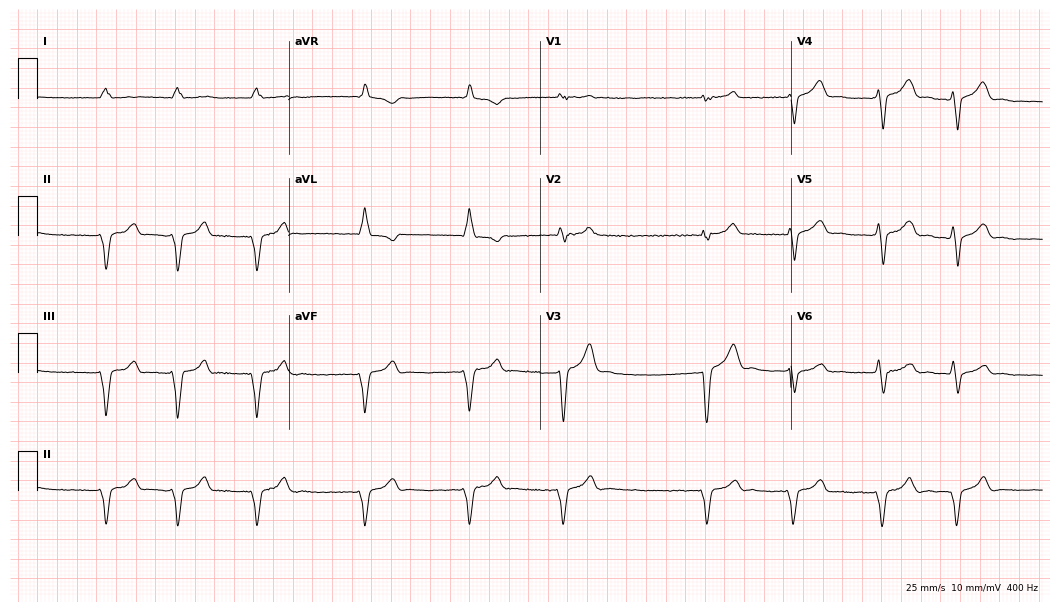
Standard 12-lead ECG recorded from a 67-year-old male patient (10.2-second recording at 400 Hz). The tracing shows left bundle branch block (LBBB), atrial fibrillation (AF).